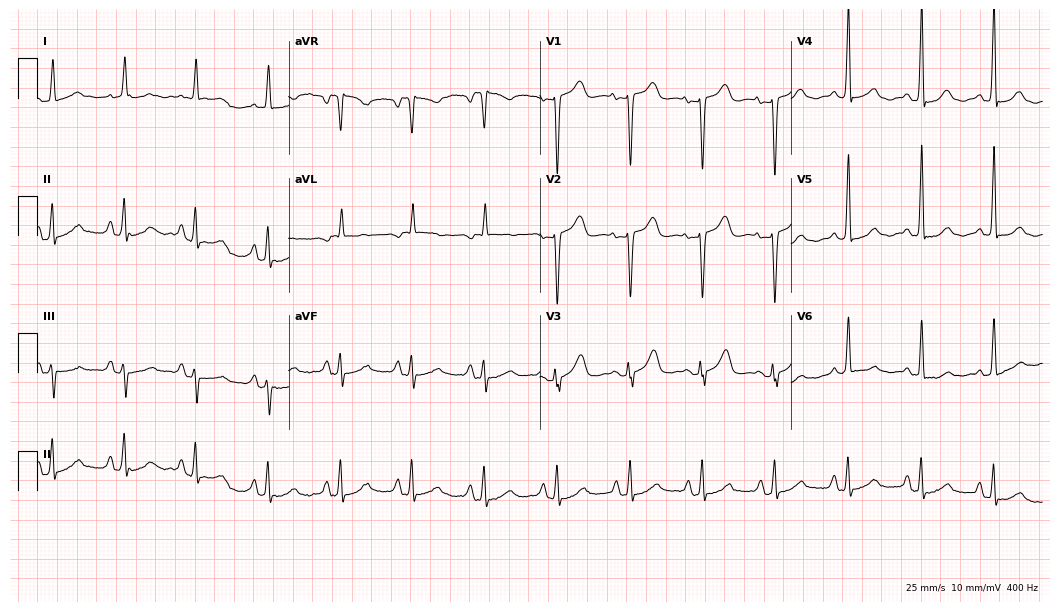
Standard 12-lead ECG recorded from a 79-year-old woman. None of these six findings is recorded: first-degree AV block, right bundle branch block (RBBB), left bundle branch block (LBBB), sinus bradycardia, atrial fibrillation (AF), sinus tachycardia. Only these six findings were labelled.